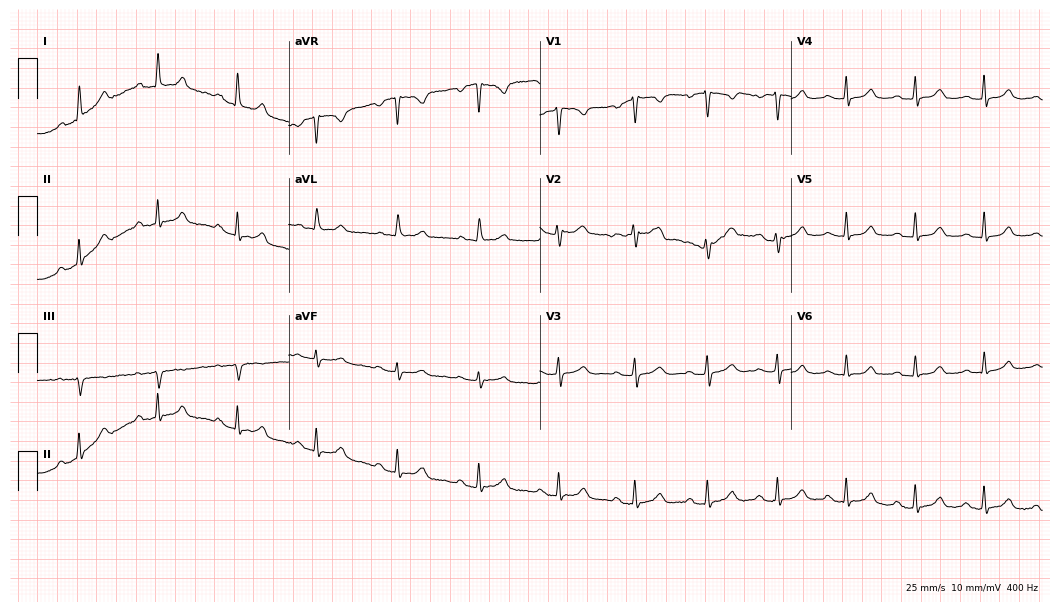
12-lead ECG from a female, 40 years old. Screened for six findings — first-degree AV block, right bundle branch block, left bundle branch block, sinus bradycardia, atrial fibrillation, sinus tachycardia — none is recorded.